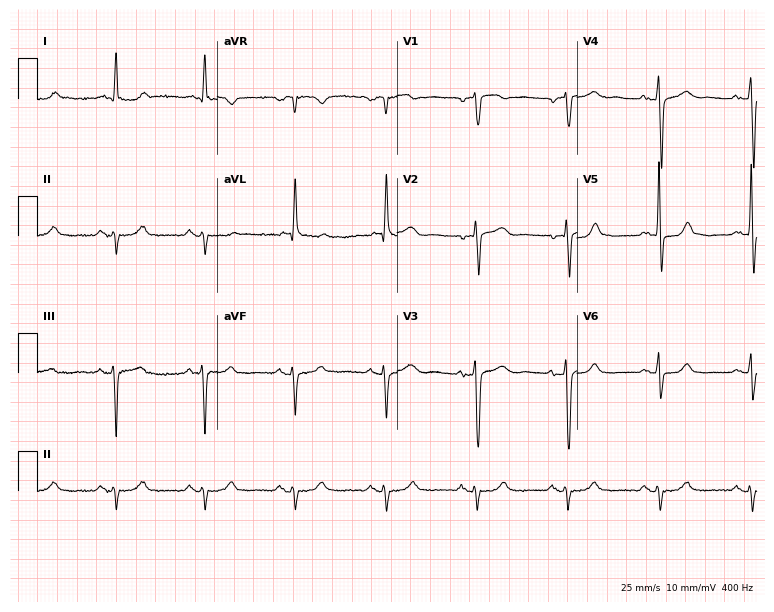
Electrocardiogram, a male patient, 80 years old. Of the six screened findings (first-degree AV block, right bundle branch block, left bundle branch block, sinus bradycardia, atrial fibrillation, sinus tachycardia), none is recorded. Findings outside these six are not listed.